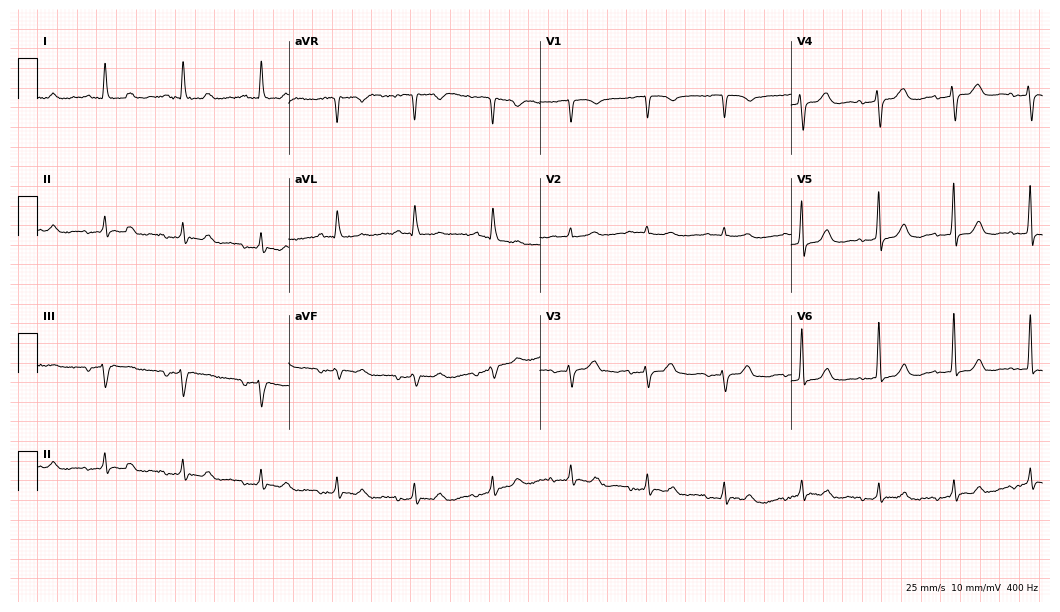
12-lead ECG from a female patient, 75 years old (10.2-second recording at 400 Hz). Recorded interpretation: within normal limits.